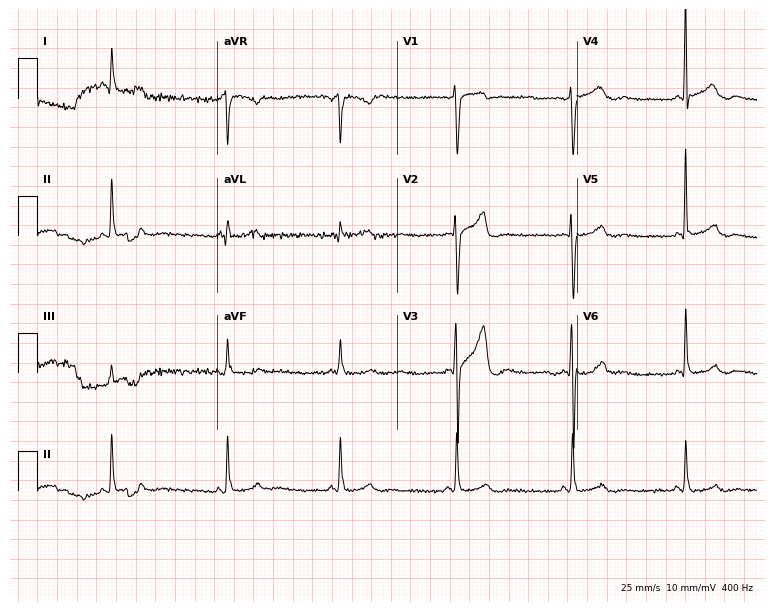
Resting 12-lead electrocardiogram. Patient: a male, 56 years old. None of these six findings is recorded: first-degree AV block, right bundle branch block, left bundle branch block, sinus bradycardia, atrial fibrillation, sinus tachycardia. Only these six findings were labelled.